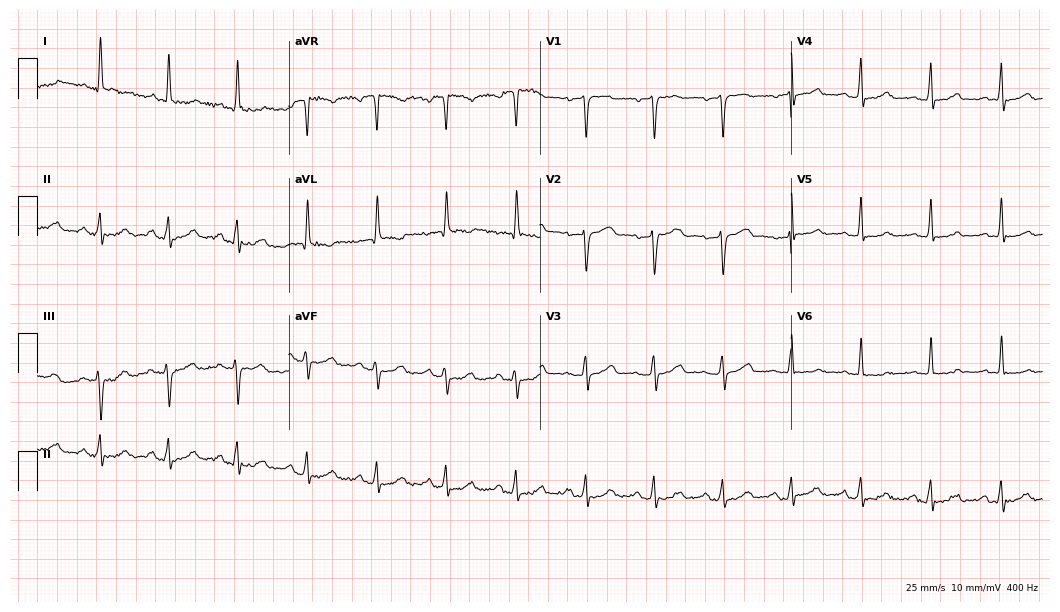
12-lead ECG from a 66-year-old female. Recorded interpretation: within normal limits.